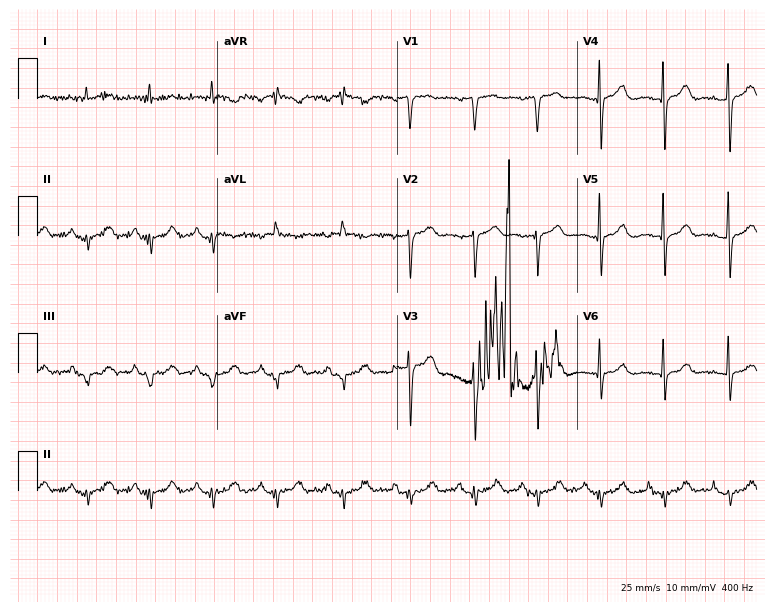
Electrocardiogram, an 82-year-old male. Of the six screened findings (first-degree AV block, right bundle branch block, left bundle branch block, sinus bradycardia, atrial fibrillation, sinus tachycardia), none is recorded.